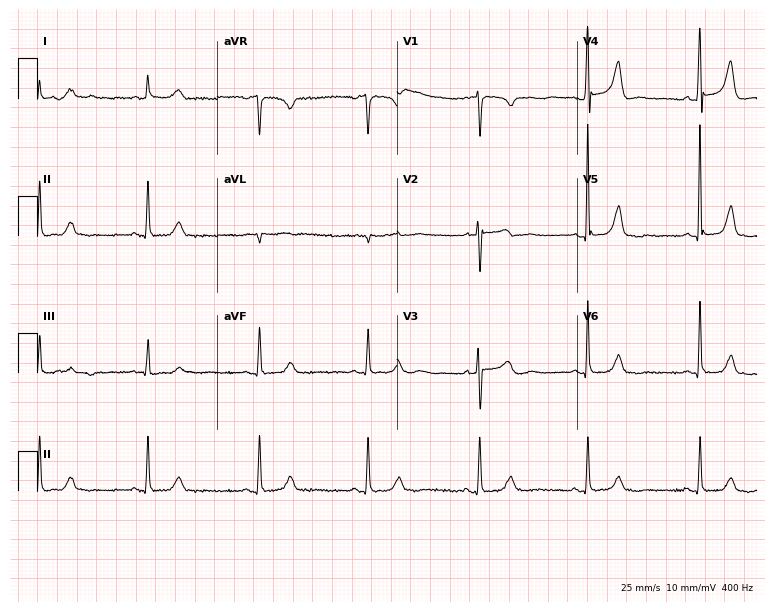
Standard 12-lead ECG recorded from a female, 67 years old. Read as a normal ECG.